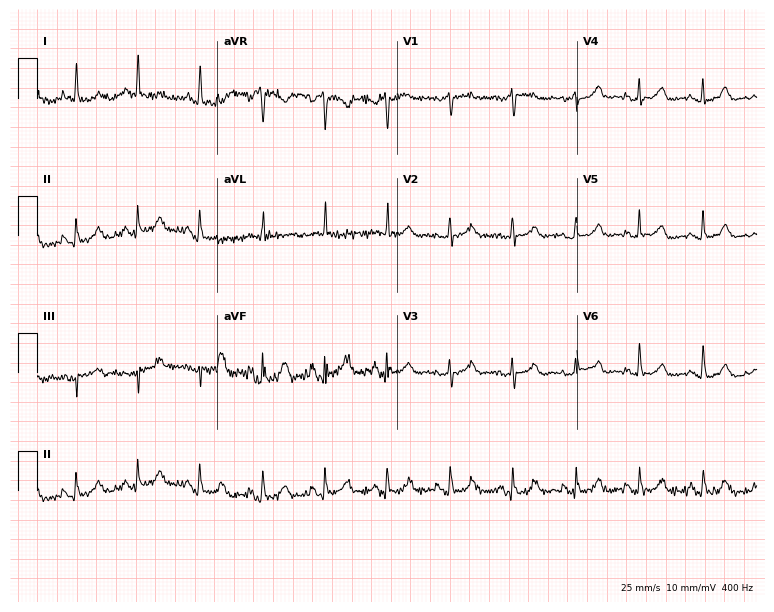
ECG — a female, 60 years old. Labelled as a normal ECG.